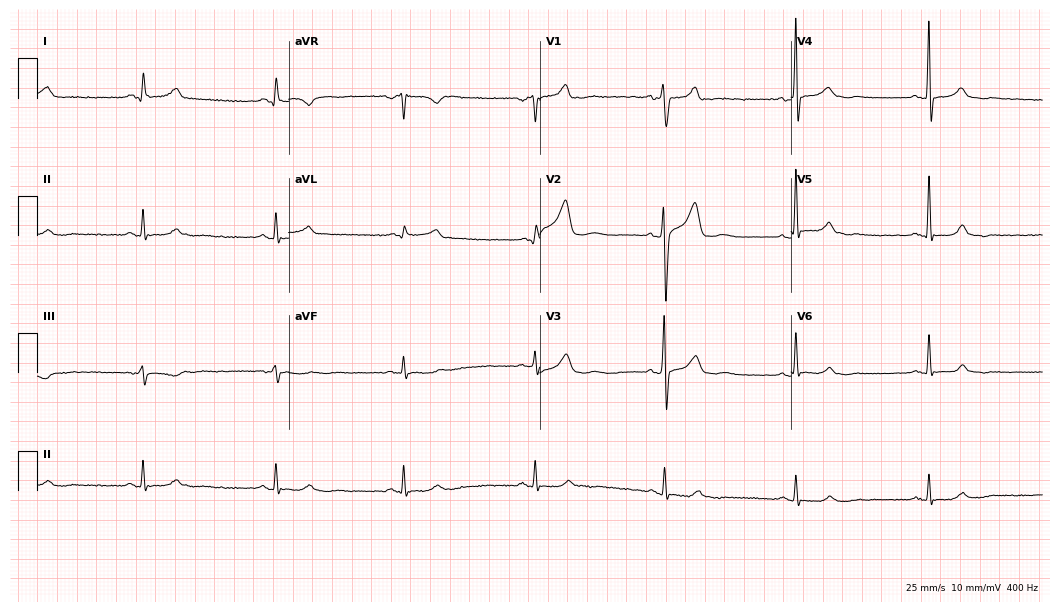
12-lead ECG from a man, 40 years old. Shows sinus bradycardia (a sinus rate of 50 beats per minute or less).